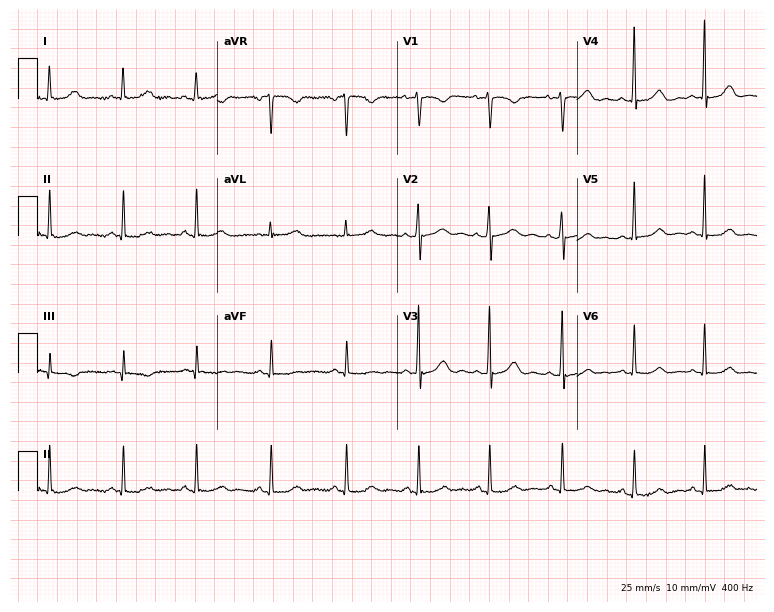
ECG — a woman, 40 years old. Screened for six findings — first-degree AV block, right bundle branch block, left bundle branch block, sinus bradycardia, atrial fibrillation, sinus tachycardia — none is recorded.